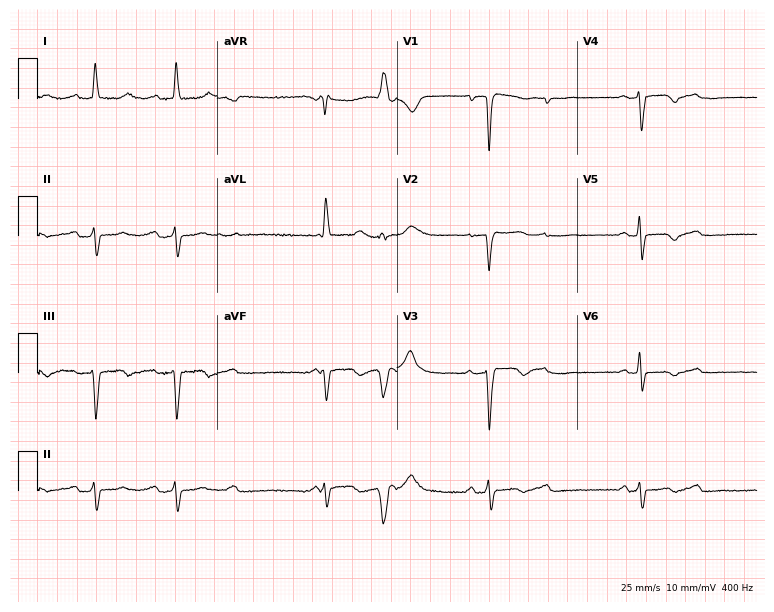
ECG — a 43-year-old female patient. Screened for six findings — first-degree AV block, right bundle branch block, left bundle branch block, sinus bradycardia, atrial fibrillation, sinus tachycardia — none is recorded. Findings outside these six are not listed.